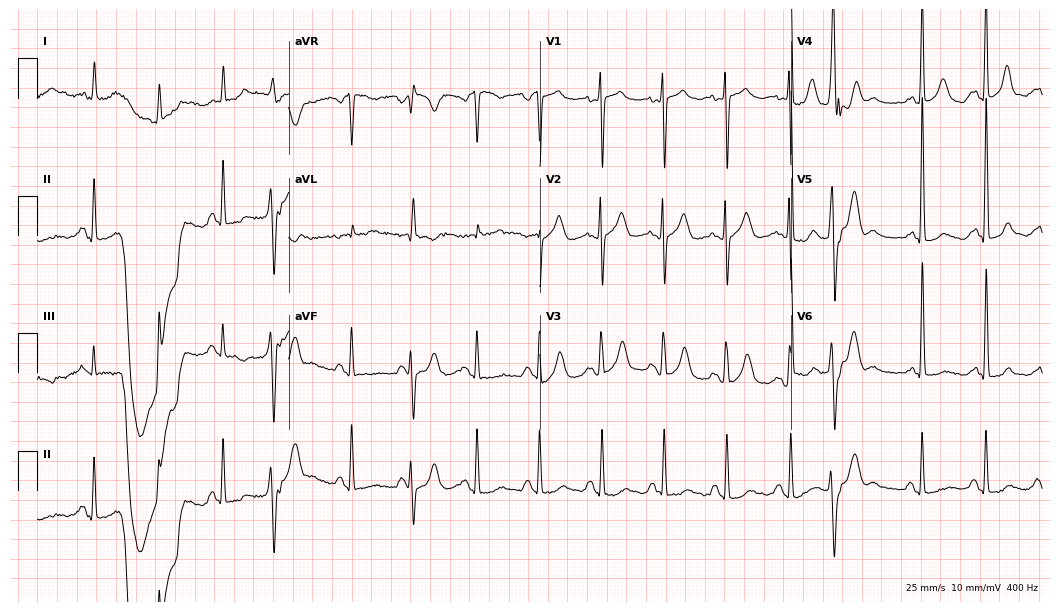
ECG — a 79-year-old woman. Screened for six findings — first-degree AV block, right bundle branch block, left bundle branch block, sinus bradycardia, atrial fibrillation, sinus tachycardia — none is recorded.